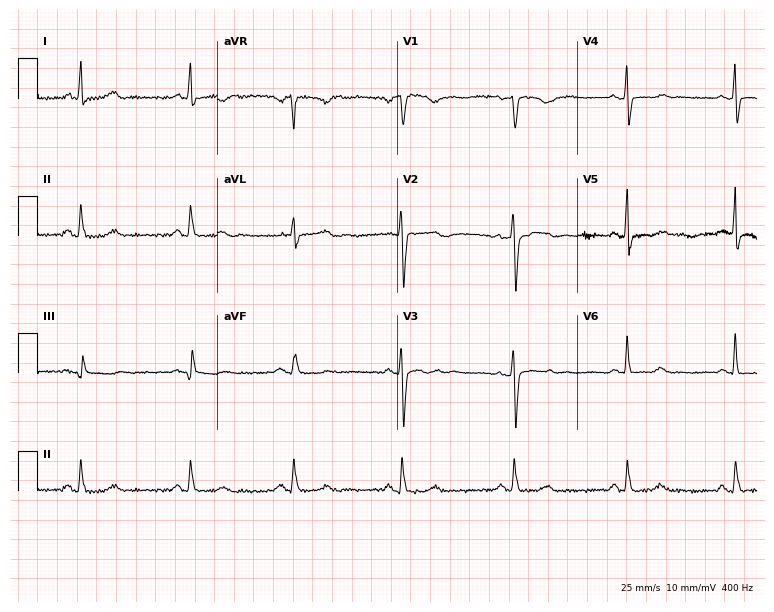
ECG — a female patient, 45 years old. Screened for six findings — first-degree AV block, right bundle branch block (RBBB), left bundle branch block (LBBB), sinus bradycardia, atrial fibrillation (AF), sinus tachycardia — none is recorded. Only these six findings were labelled.